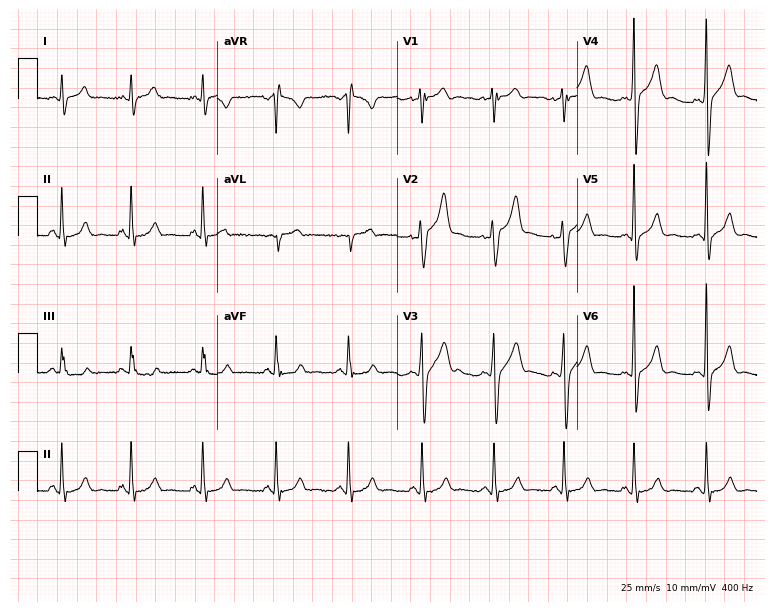
Resting 12-lead electrocardiogram (7.3-second recording at 400 Hz). Patient: a 34-year-old male. Read as a normal ECG.